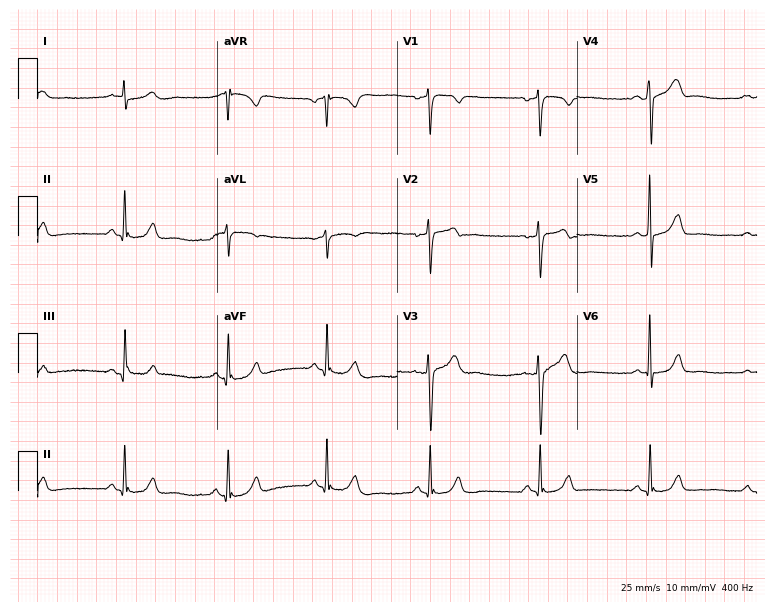
12-lead ECG from a male patient, 48 years old (7.3-second recording at 400 Hz). Recorded interpretation: within normal limits.